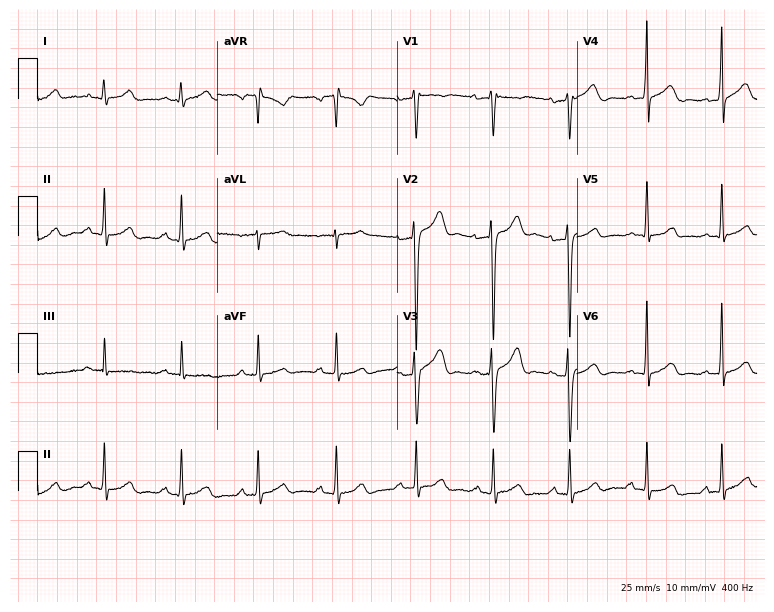
12-lead ECG from a male, 33 years old. Screened for six findings — first-degree AV block, right bundle branch block, left bundle branch block, sinus bradycardia, atrial fibrillation, sinus tachycardia — none is recorded. Other findings, if any, are not listed.